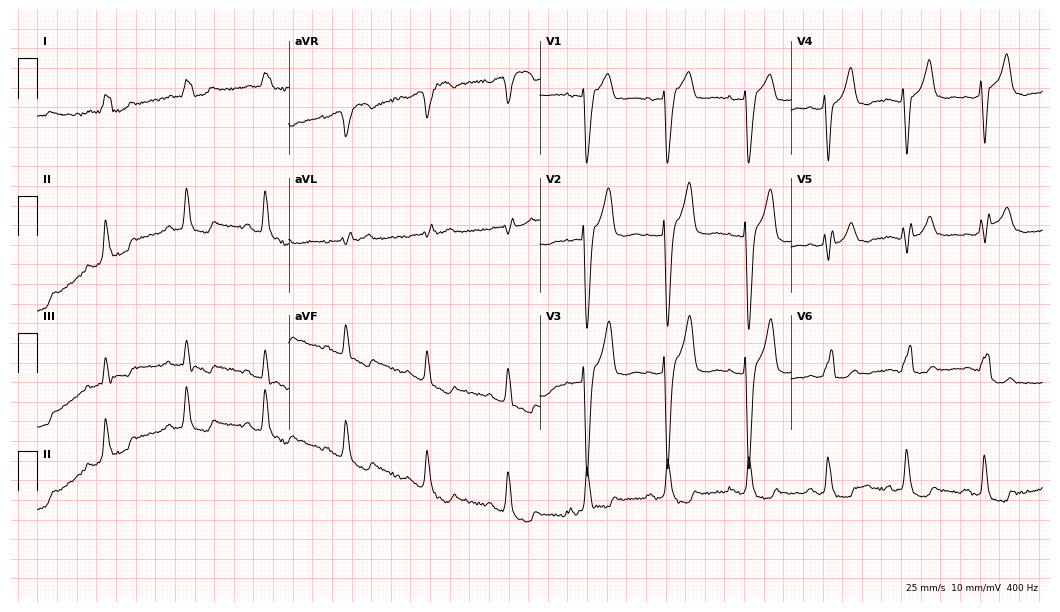
Resting 12-lead electrocardiogram (10.2-second recording at 400 Hz). Patient: an 80-year-old female. The tracing shows left bundle branch block.